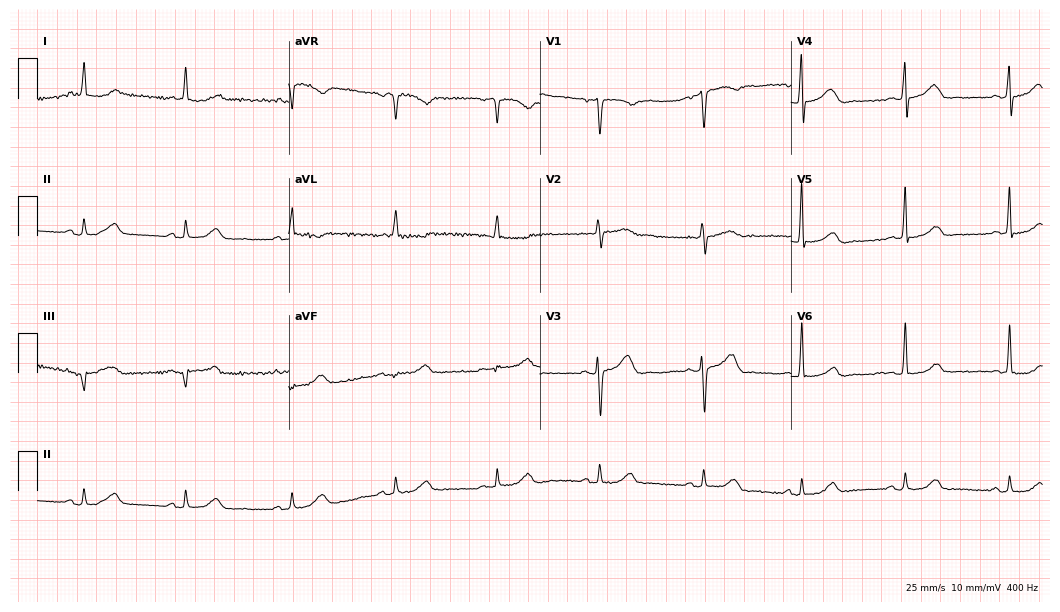
ECG (10.2-second recording at 400 Hz) — a woman, 72 years old. Screened for six findings — first-degree AV block, right bundle branch block, left bundle branch block, sinus bradycardia, atrial fibrillation, sinus tachycardia — none is recorded. Other findings, if any, are not listed.